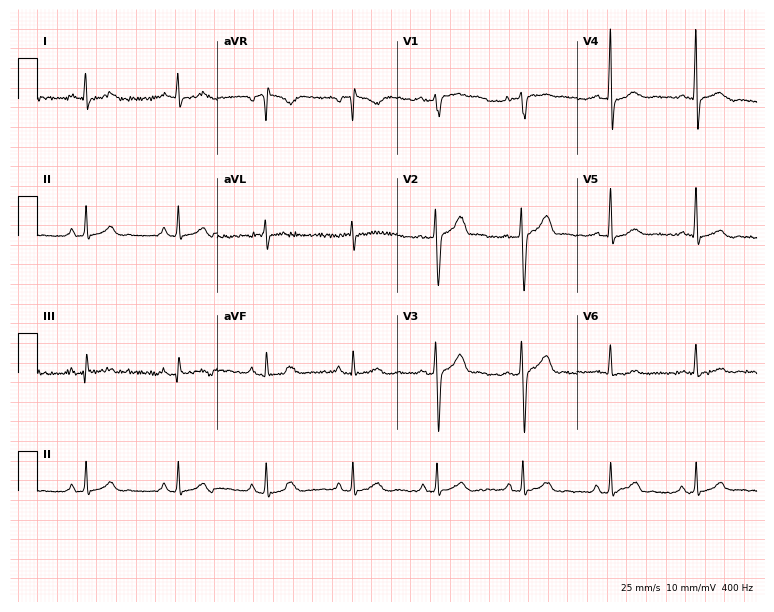
ECG — a male patient, 45 years old. Labelled as a normal ECG.